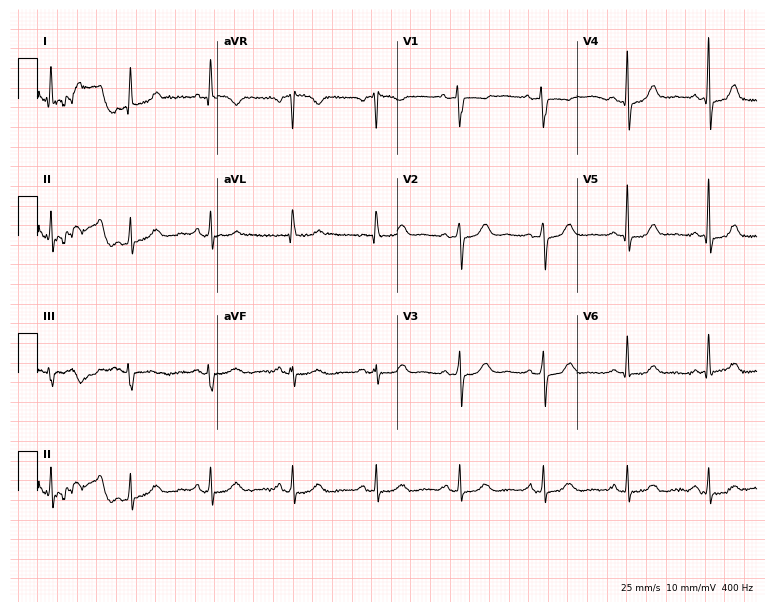
ECG (7.3-second recording at 400 Hz) — a 63-year-old female patient. Labelled as a normal ECG.